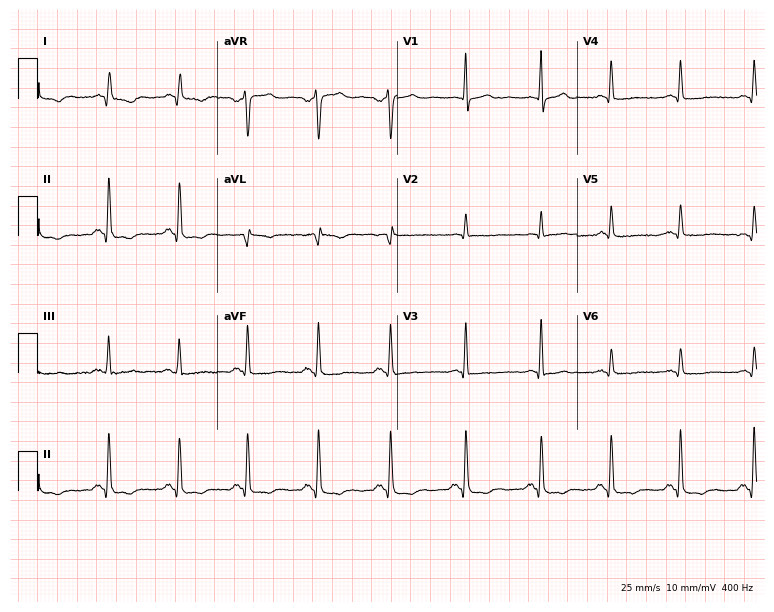
Electrocardiogram (7.3-second recording at 400 Hz), a 34-year-old female. Of the six screened findings (first-degree AV block, right bundle branch block, left bundle branch block, sinus bradycardia, atrial fibrillation, sinus tachycardia), none is recorded.